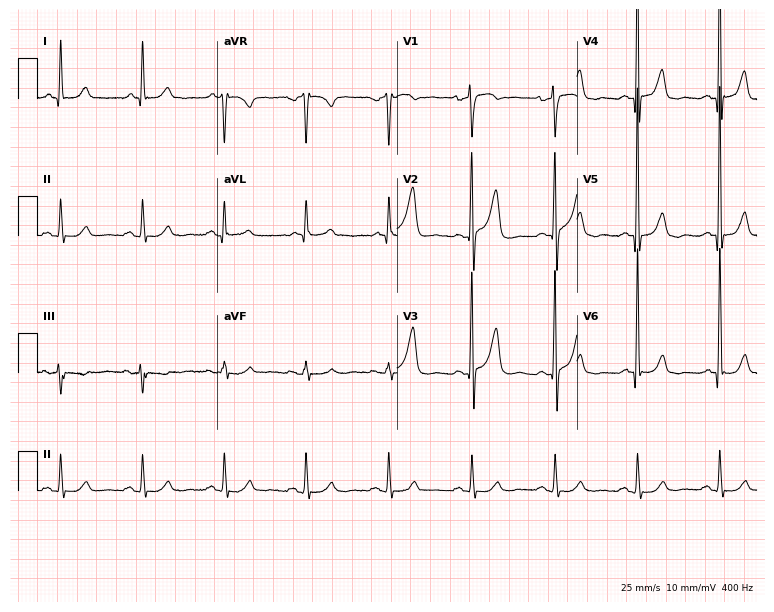
12-lead ECG from an 80-year-old man. Recorded interpretation: within normal limits.